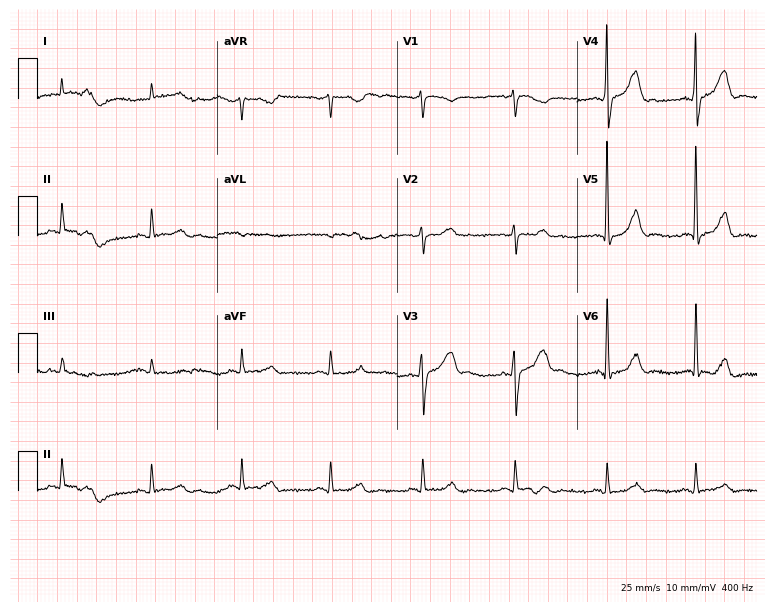
12-lead ECG from a 76-year-old male patient. Labelled as a normal ECG.